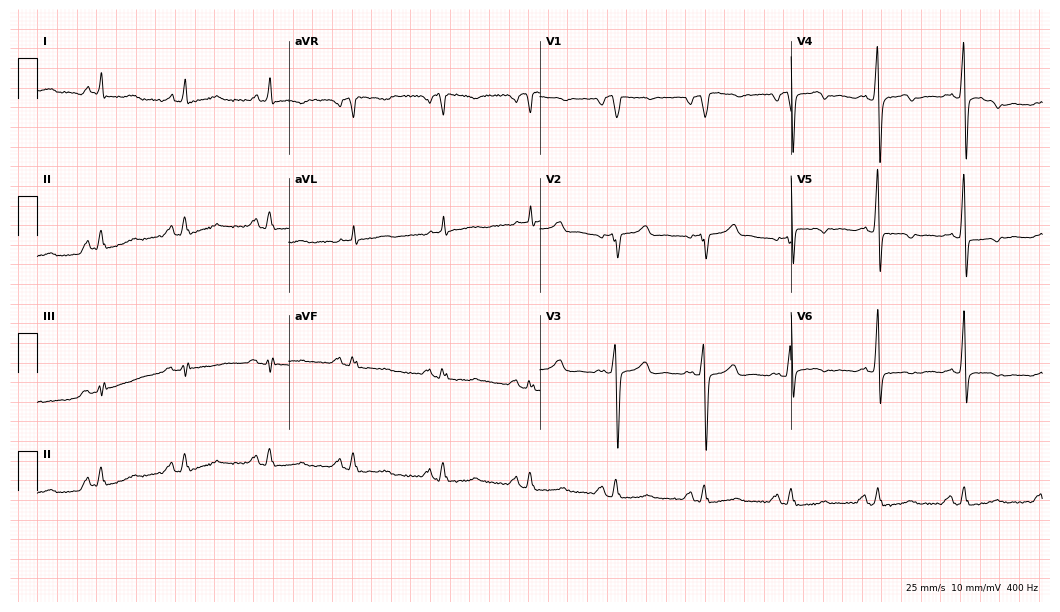
ECG (10.2-second recording at 400 Hz) — a 51-year-old male patient. Screened for six findings — first-degree AV block, right bundle branch block, left bundle branch block, sinus bradycardia, atrial fibrillation, sinus tachycardia — none is recorded. Other findings, if any, are not listed.